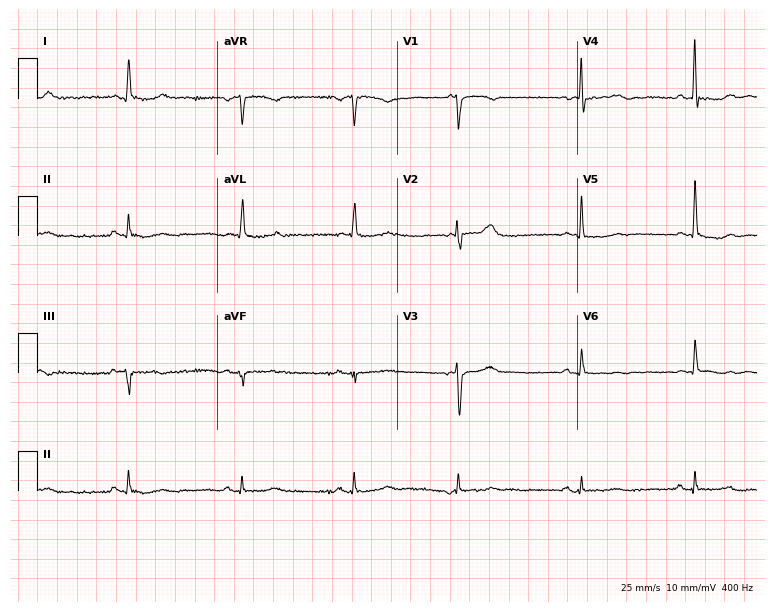
ECG (7.3-second recording at 400 Hz) — a female, 70 years old. Screened for six findings — first-degree AV block, right bundle branch block (RBBB), left bundle branch block (LBBB), sinus bradycardia, atrial fibrillation (AF), sinus tachycardia — none is recorded.